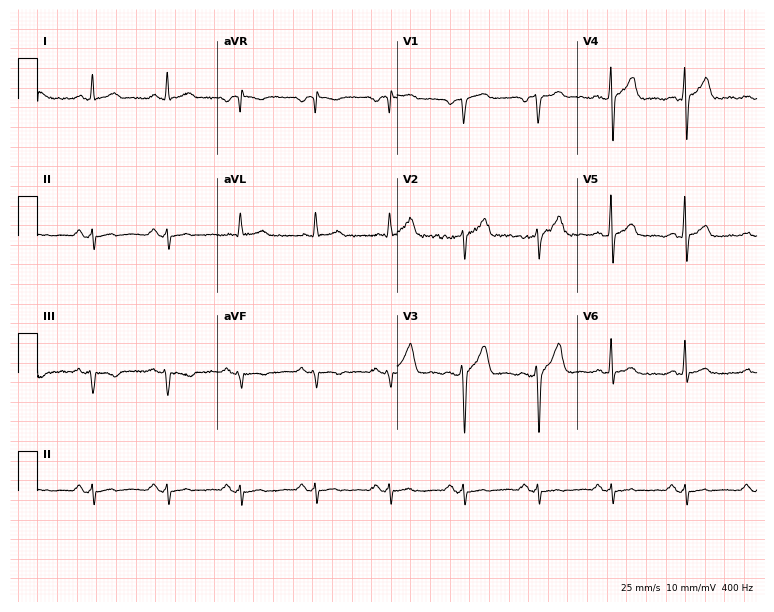
Standard 12-lead ECG recorded from a male patient, 56 years old (7.3-second recording at 400 Hz). None of these six findings is recorded: first-degree AV block, right bundle branch block (RBBB), left bundle branch block (LBBB), sinus bradycardia, atrial fibrillation (AF), sinus tachycardia.